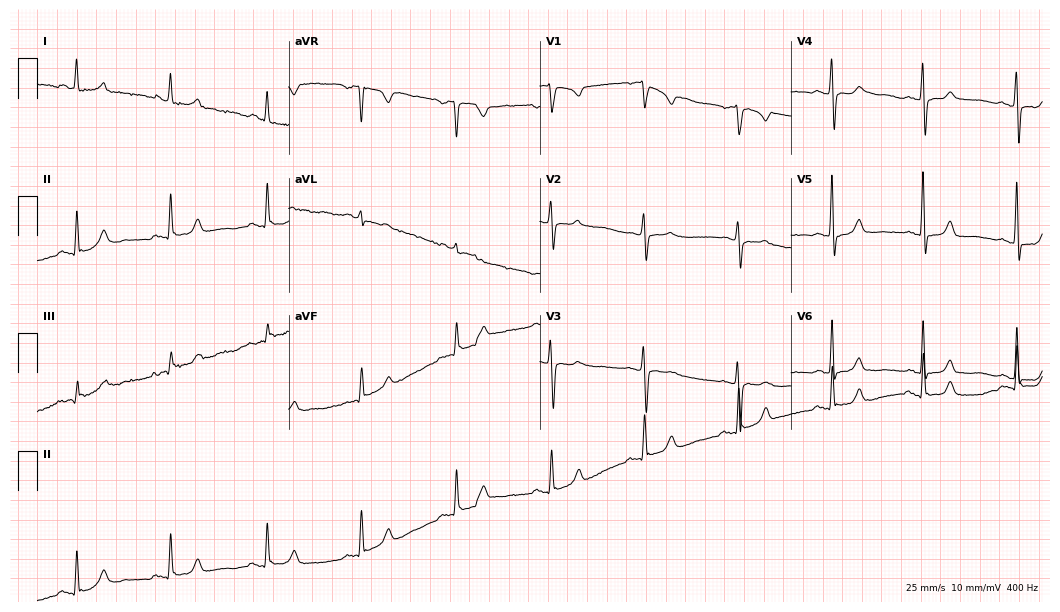
ECG — a woman, 75 years old. Labelled as a normal ECG.